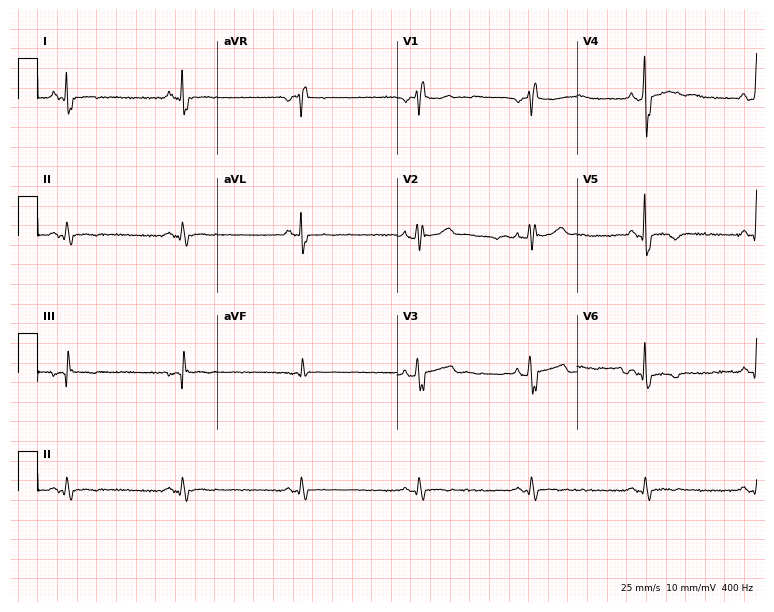
Standard 12-lead ECG recorded from a 44-year-old male. None of these six findings is recorded: first-degree AV block, right bundle branch block, left bundle branch block, sinus bradycardia, atrial fibrillation, sinus tachycardia.